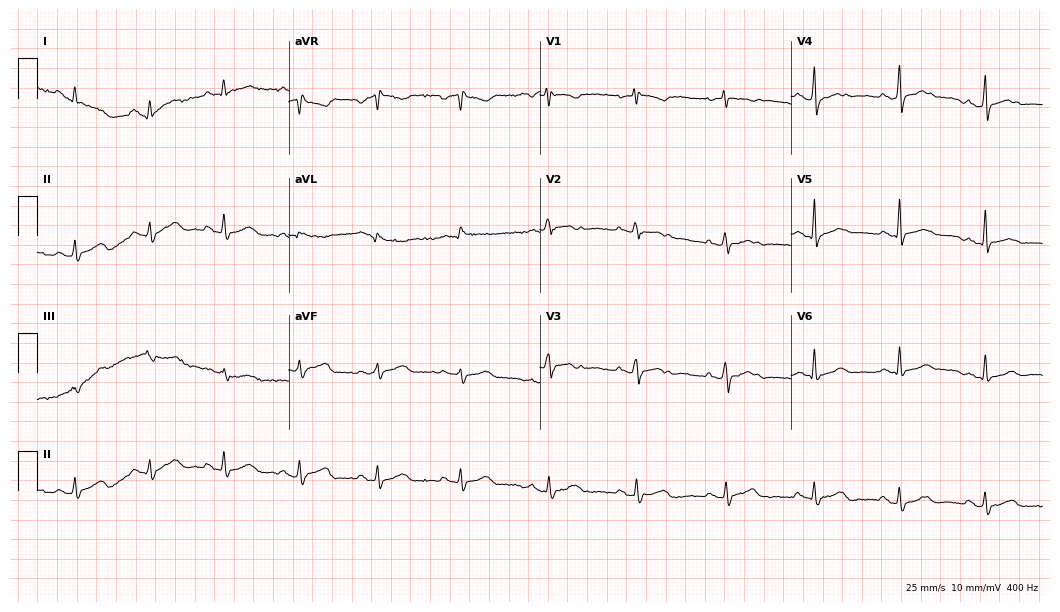
Electrocardiogram (10.2-second recording at 400 Hz), a 48-year-old female patient. Of the six screened findings (first-degree AV block, right bundle branch block, left bundle branch block, sinus bradycardia, atrial fibrillation, sinus tachycardia), none is recorded. Findings outside these six are not listed.